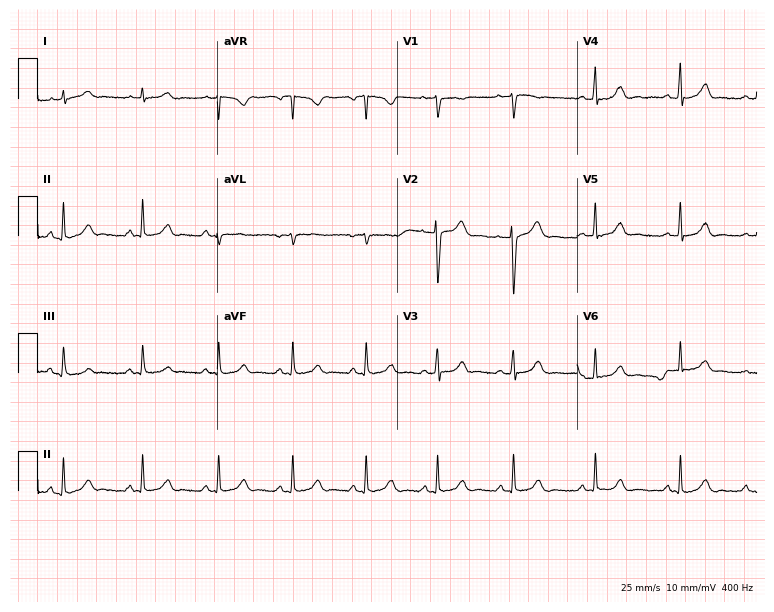
Standard 12-lead ECG recorded from a female, 20 years old. None of these six findings is recorded: first-degree AV block, right bundle branch block, left bundle branch block, sinus bradycardia, atrial fibrillation, sinus tachycardia. Findings outside these six are not listed.